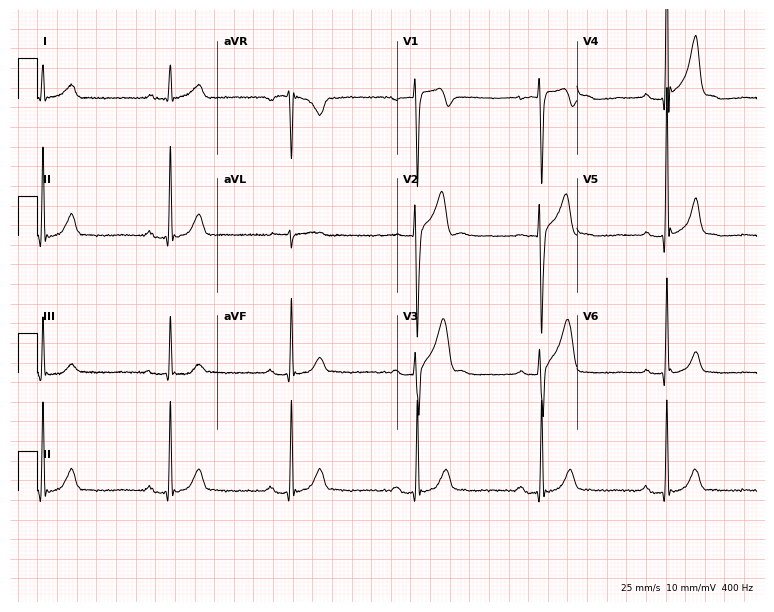
12-lead ECG from a man, 23 years old. No first-degree AV block, right bundle branch block, left bundle branch block, sinus bradycardia, atrial fibrillation or sinus tachycardia recorded for this tracing. Findings outside these six are not listed.